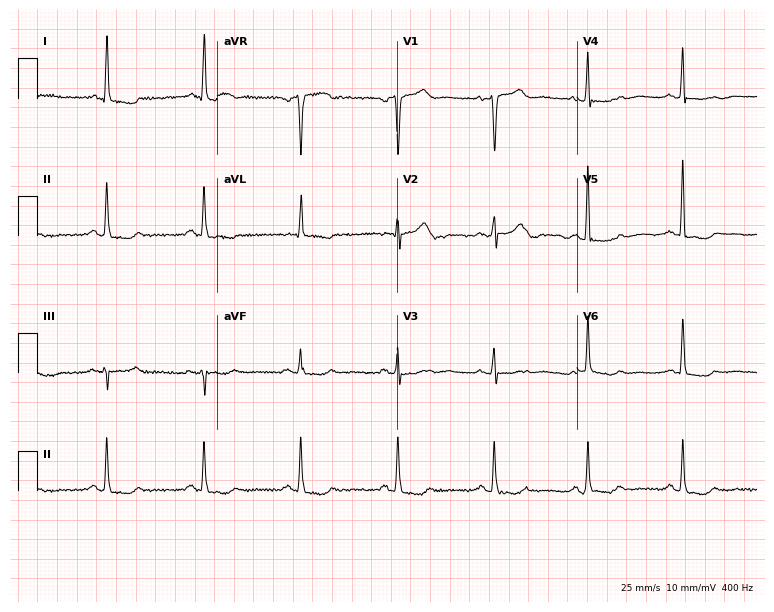
ECG (7.3-second recording at 400 Hz) — a woman, 85 years old. Screened for six findings — first-degree AV block, right bundle branch block, left bundle branch block, sinus bradycardia, atrial fibrillation, sinus tachycardia — none is recorded.